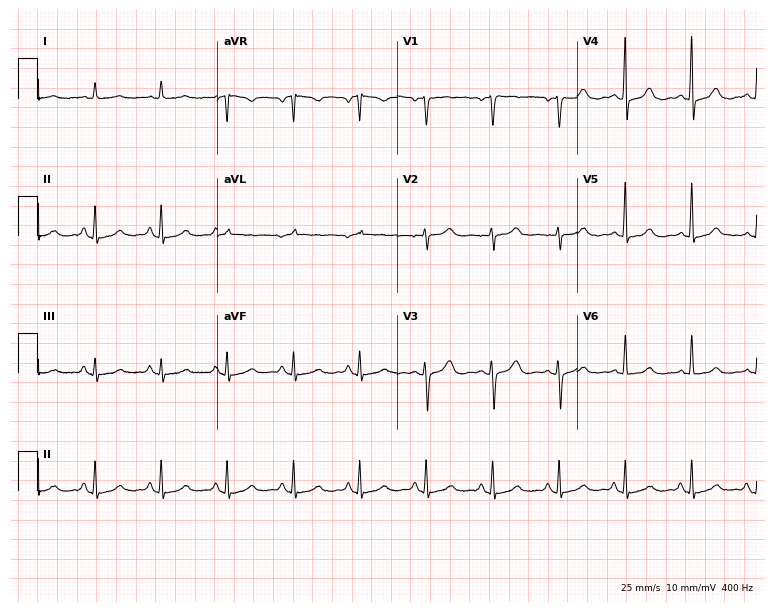
Electrocardiogram, a 54-year-old female patient. Of the six screened findings (first-degree AV block, right bundle branch block, left bundle branch block, sinus bradycardia, atrial fibrillation, sinus tachycardia), none is recorded. Findings outside these six are not listed.